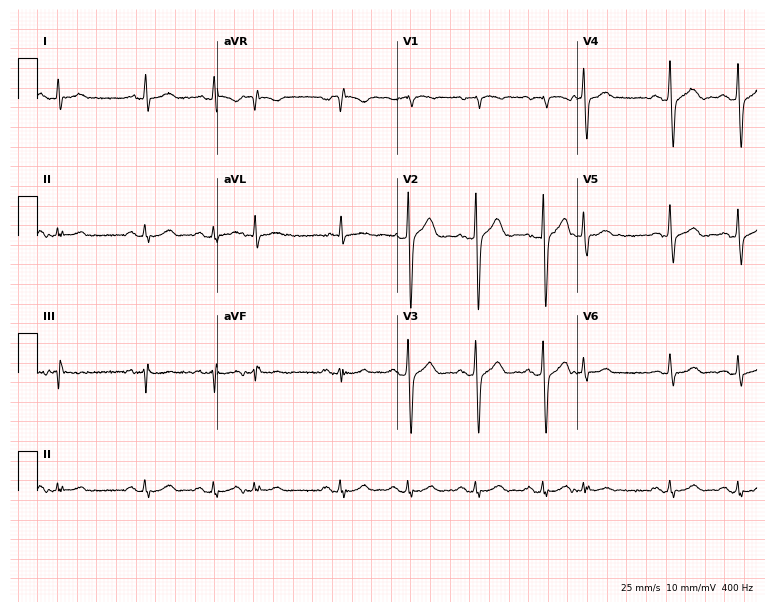
ECG — an 82-year-old man. Screened for six findings — first-degree AV block, right bundle branch block (RBBB), left bundle branch block (LBBB), sinus bradycardia, atrial fibrillation (AF), sinus tachycardia — none is recorded. Findings outside these six are not listed.